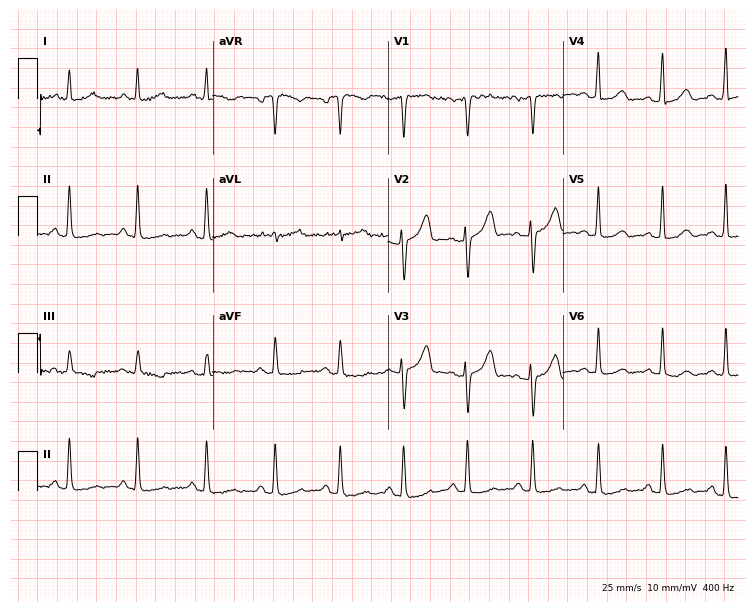
12-lead ECG from a 40-year-old female (7.1-second recording at 400 Hz). No first-degree AV block, right bundle branch block, left bundle branch block, sinus bradycardia, atrial fibrillation or sinus tachycardia recorded for this tracing. Only these six findings were labelled.